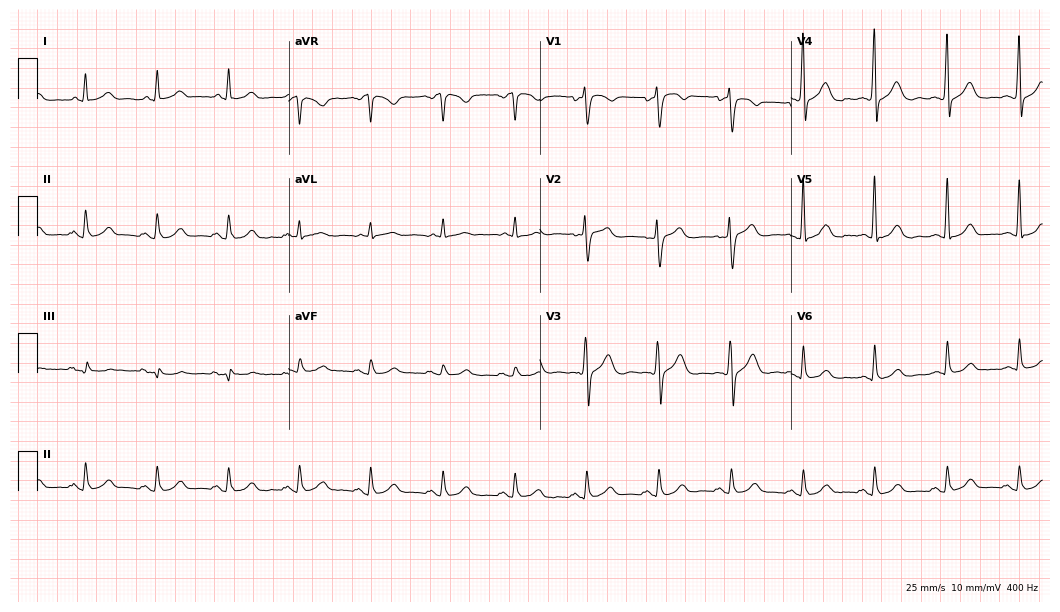
Resting 12-lead electrocardiogram (10.2-second recording at 400 Hz). Patient: a male, 60 years old. Read as a normal ECG.